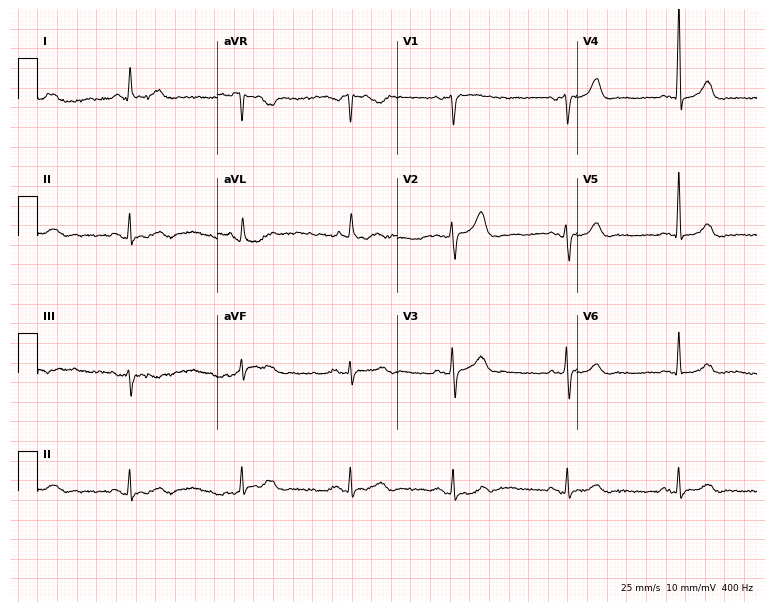
12-lead ECG from a woman, 84 years old (7.3-second recording at 400 Hz). No first-degree AV block, right bundle branch block, left bundle branch block, sinus bradycardia, atrial fibrillation or sinus tachycardia recorded for this tracing.